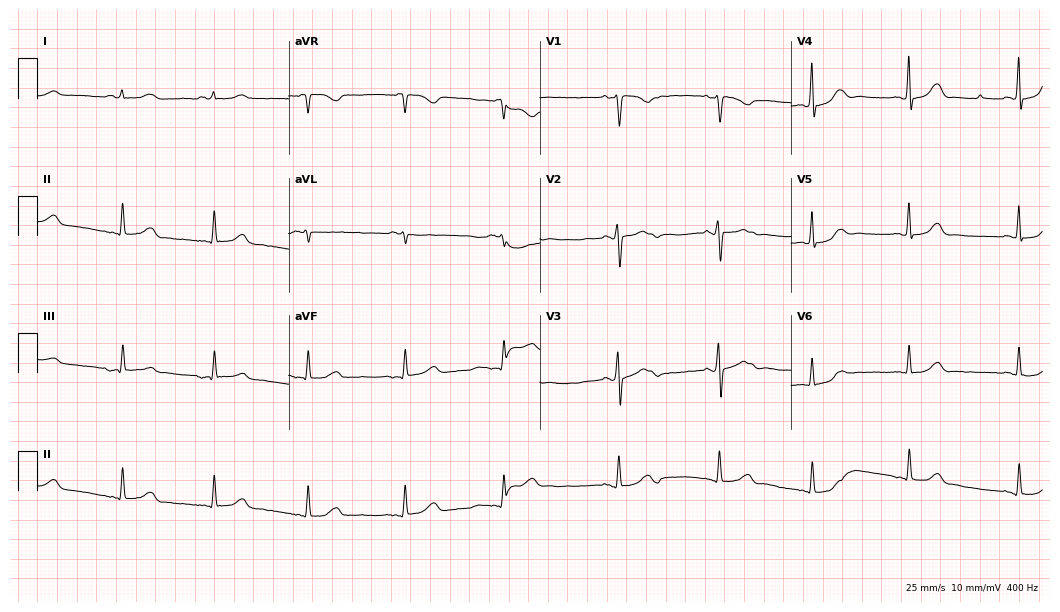
12-lead ECG from a female, 48 years old. Labelled as a normal ECG.